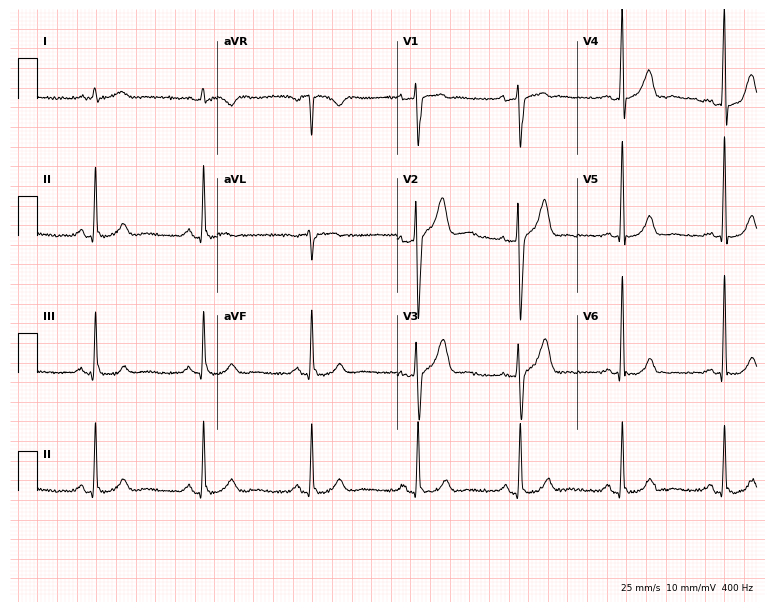
ECG (7.3-second recording at 400 Hz) — a male patient, 43 years old. Screened for six findings — first-degree AV block, right bundle branch block (RBBB), left bundle branch block (LBBB), sinus bradycardia, atrial fibrillation (AF), sinus tachycardia — none is recorded.